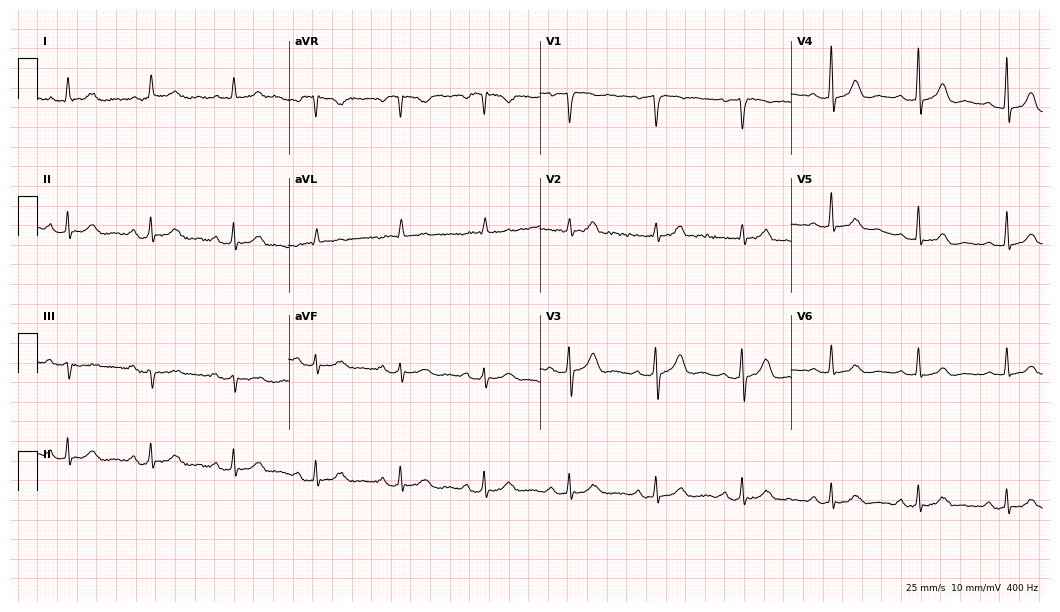
Electrocardiogram (10.2-second recording at 400 Hz), a 74-year-old man. Overall reading on record: normal ECG.